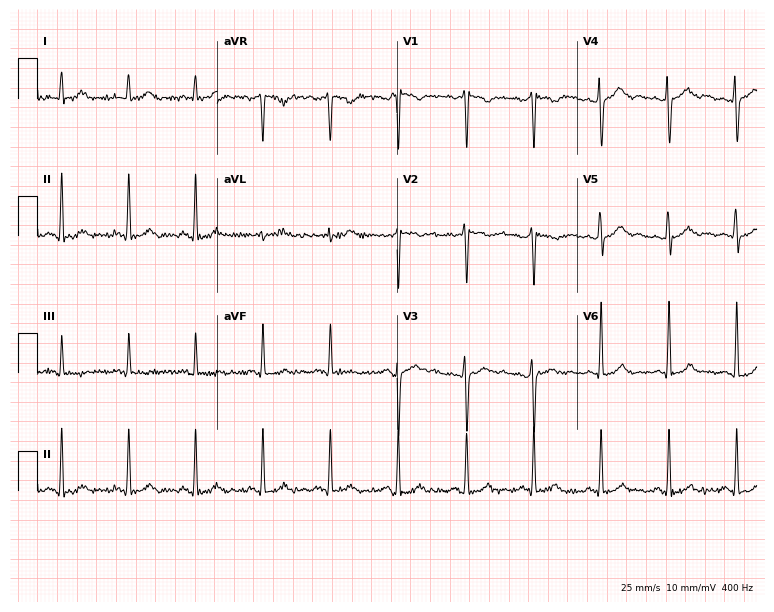
12-lead ECG from a 29-year-old female patient. No first-degree AV block, right bundle branch block, left bundle branch block, sinus bradycardia, atrial fibrillation or sinus tachycardia recorded for this tracing. Other findings, if any, are not listed.